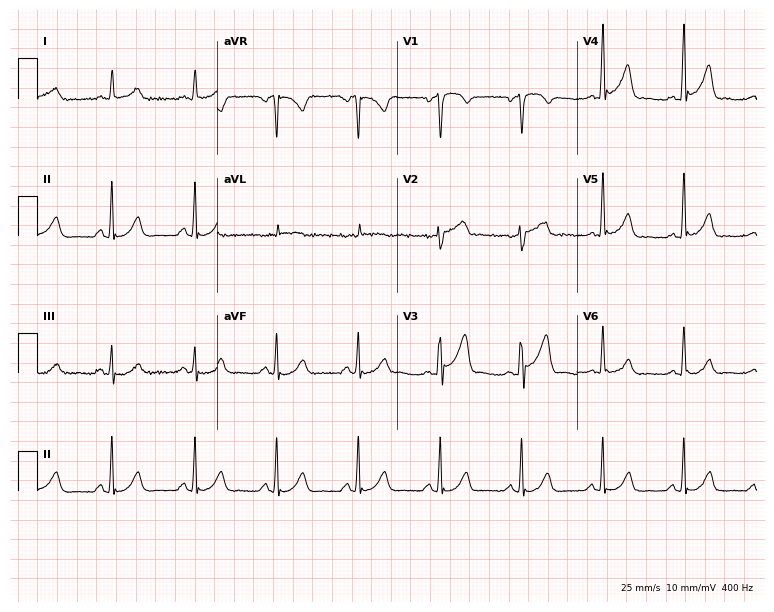
Resting 12-lead electrocardiogram. Patient: a male, 70 years old. Read as a normal ECG.